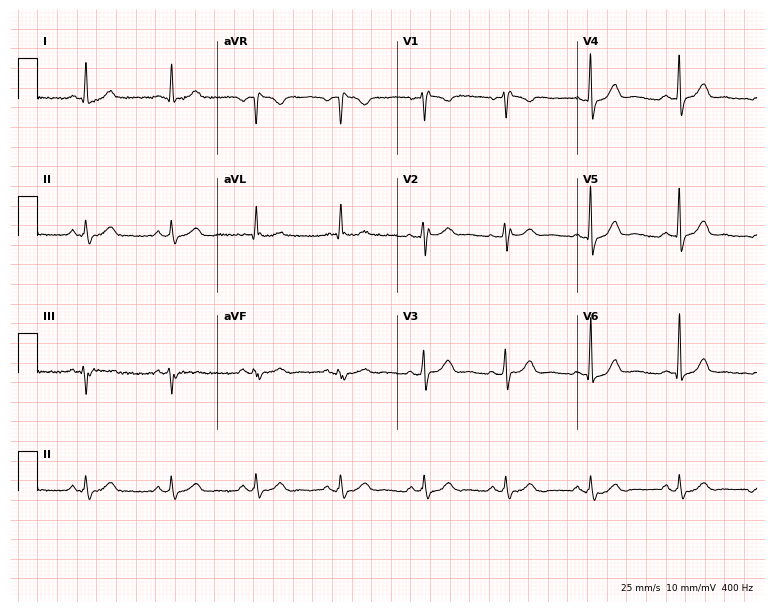
Electrocardiogram, a male patient, 52 years old. Of the six screened findings (first-degree AV block, right bundle branch block (RBBB), left bundle branch block (LBBB), sinus bradycardia, atrial fibrillation (AF), sinus tachycardia), none is recorded. Other findings, if any, are not listed.